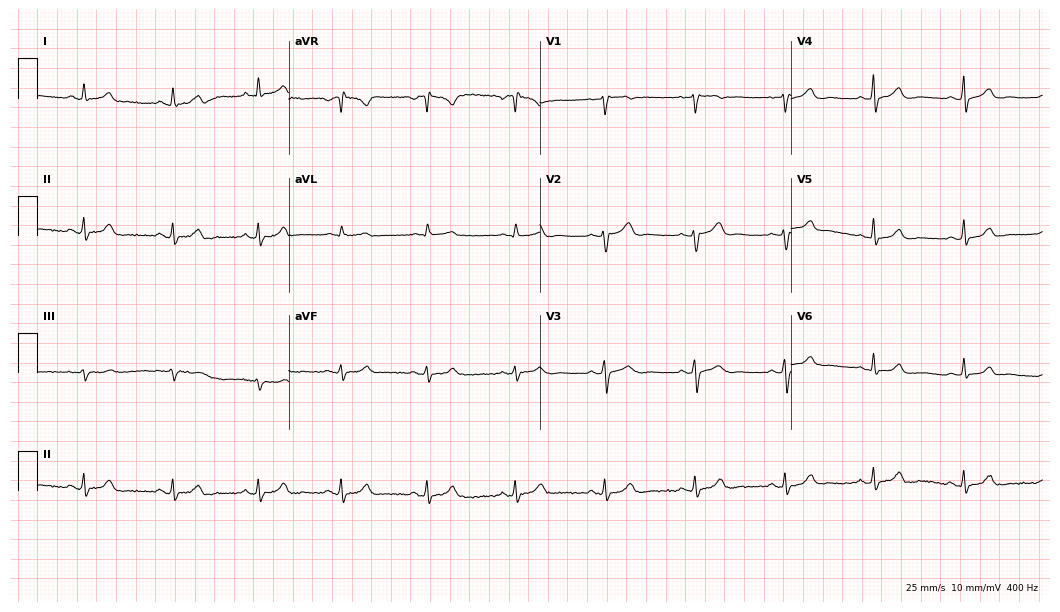
12-lead ECG (10.2-second recording at 400 Hz) from a 31-year-old female patient. Screened for six findings — first-degree AV block, right bundle branch block, left bundle branch block, sinus bradycardia, atrial fibrillation, sinus tachycardia — none is recorded.